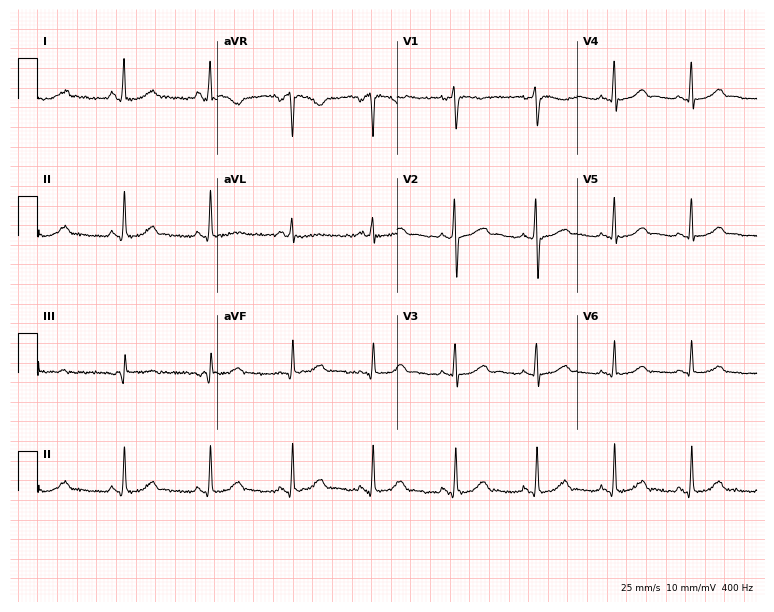
Electrocardiogram, a female, 35 years old. Overall reading on record: normal ECG.